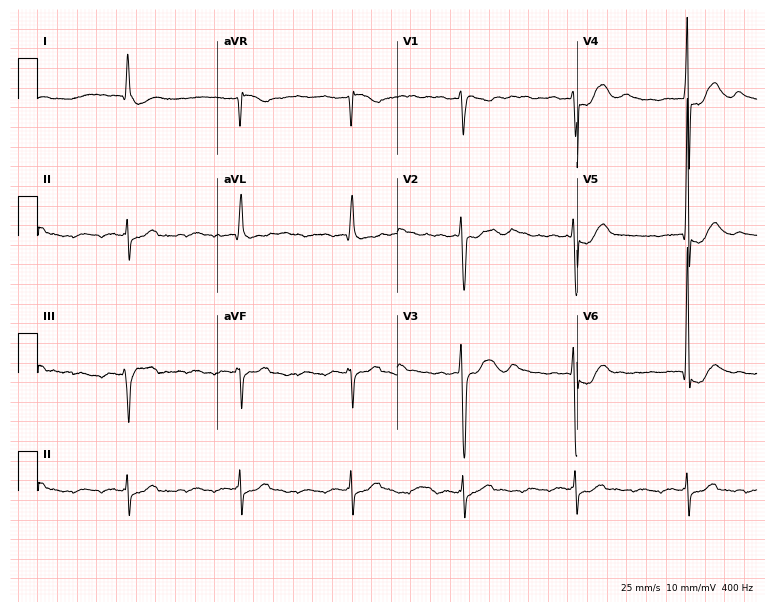
12-lead ECG from a woman, 65 years old. No first-degree AV block, right bundle branch block, left bundle branch block, sinus bradycardia, atrial fibrillation or sinus tachycardia recorded for this tracing.